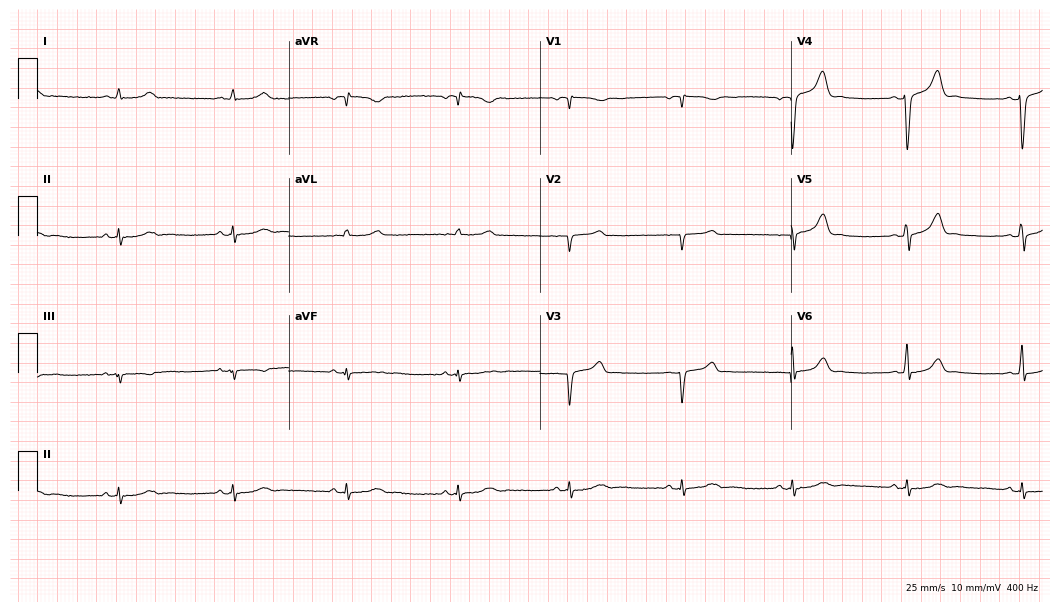
12-lead ECG from a 63-year-old male patient. Recorded interpretation: within normal limits.